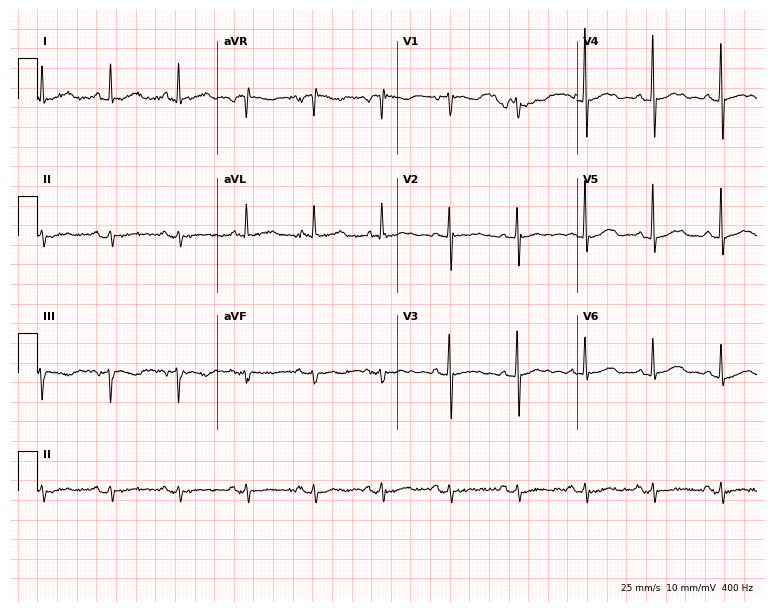
12-lead ECG from an 83-year-old female (7.3-second recording at 400 Hz). No first-degree AV block, right bundle branch block (RBBB), left bundle branch block (LBBB), sinus bradycardia, atrial fibrillation (AF) or sinus tachycardia recorded for this tracing. Findings outside these six are not listed.